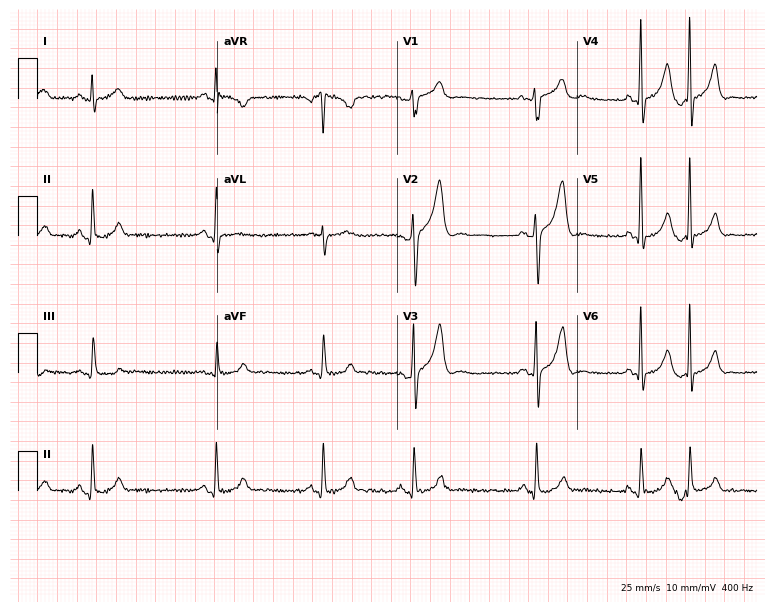
Electrocardiogram (7.3-second recording at 400 Hz), a 27-year-old man. Of the six screened findings (first-degree AV block, right bundle branch block, left bundle branch block, sinus bradycardia, atrial fibrillation, sinus tachycardia), none is recorded.